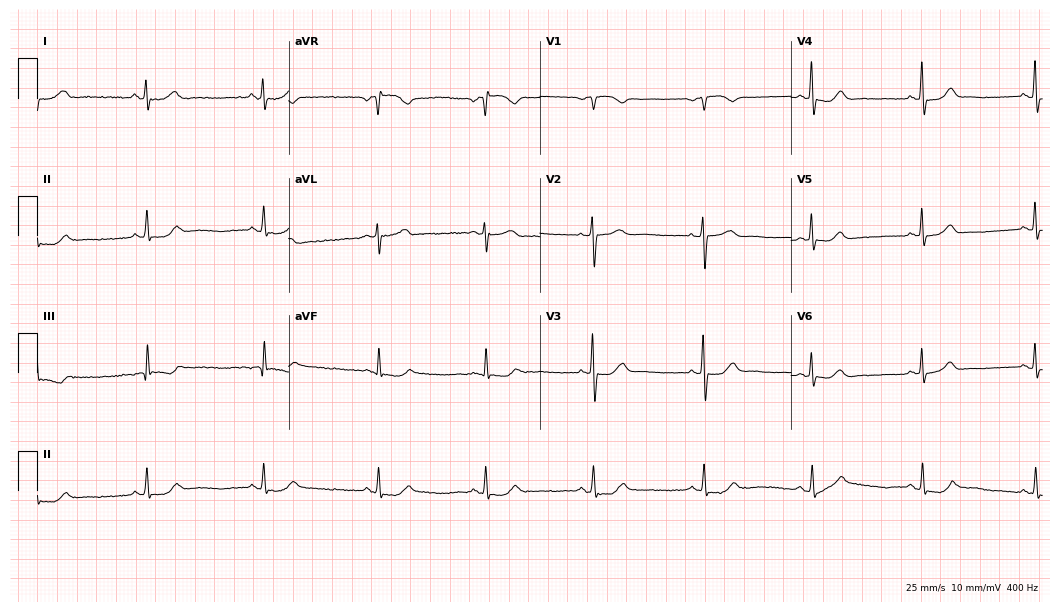
Standard 12-lead ECG recorded from a female patient, 64 years old. Read as a normal ECG.